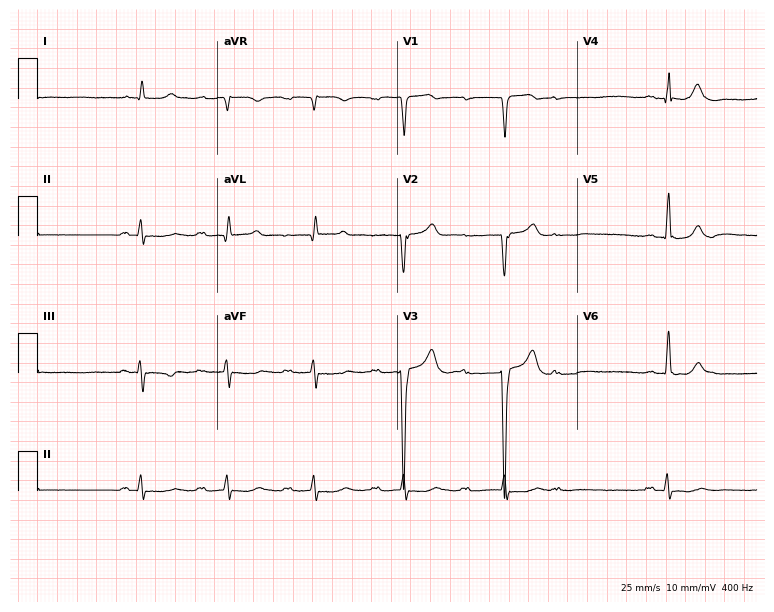
Standard 12-lead ECG recorded from a 66-year-old male (7.3-second recording at 400 Hz). None of these six findings is recorded: first-degree AV block, right bundle branch block, left bundle branch block, sinus bradycardia, atrial fibrillation, sinus tachycardia.